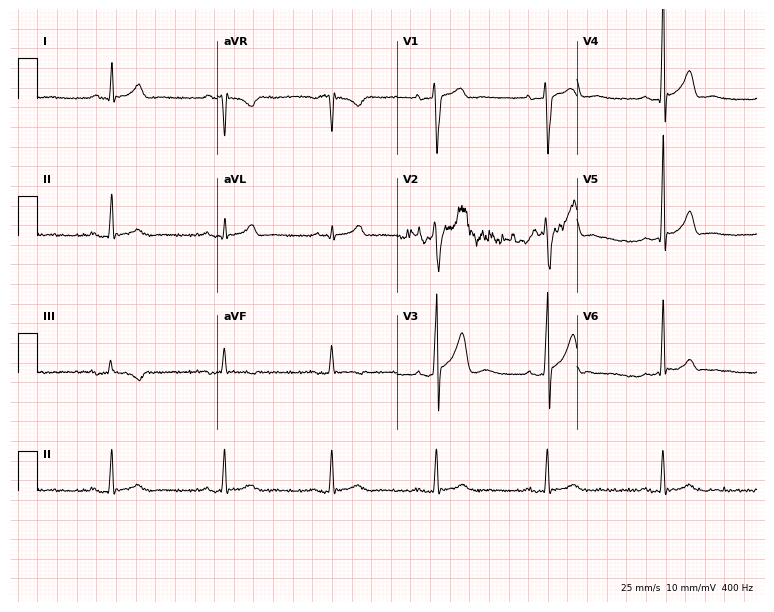
Electrocardiogram (7.3-second recording at 400 Hz), a male patient, 41 years old. Of the six screened findings (first-degree AV block, right bundle branch block, left bundle branch block, sinus bradycardia, atrial fibrillation, sinus tachycardia), none is recorded.